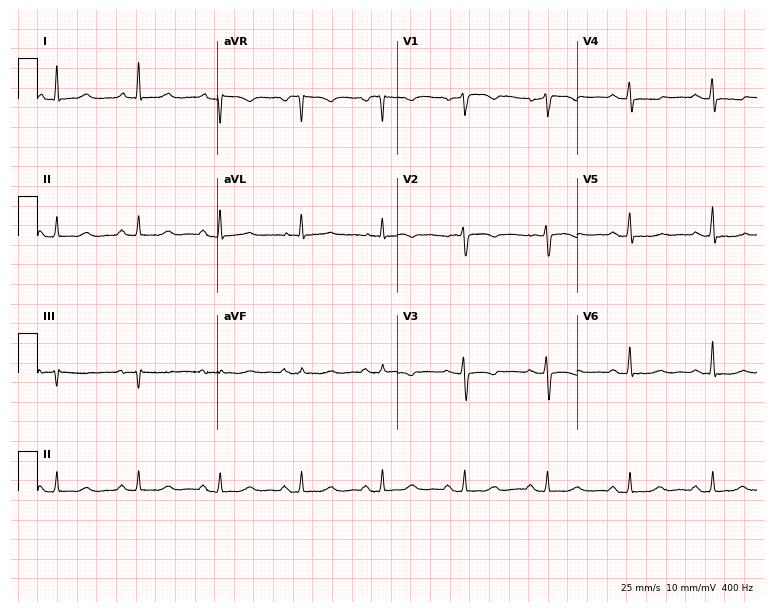
12-lead ECG (7.3-second recording at 400 Hz) from a female patient, 62 years old. Screened for six findings — first-degree AV block, right bundle branch block, left bundle branch block, sinus bradycardia, atrial fibrillation, sinus tachycardia — none is recorded.